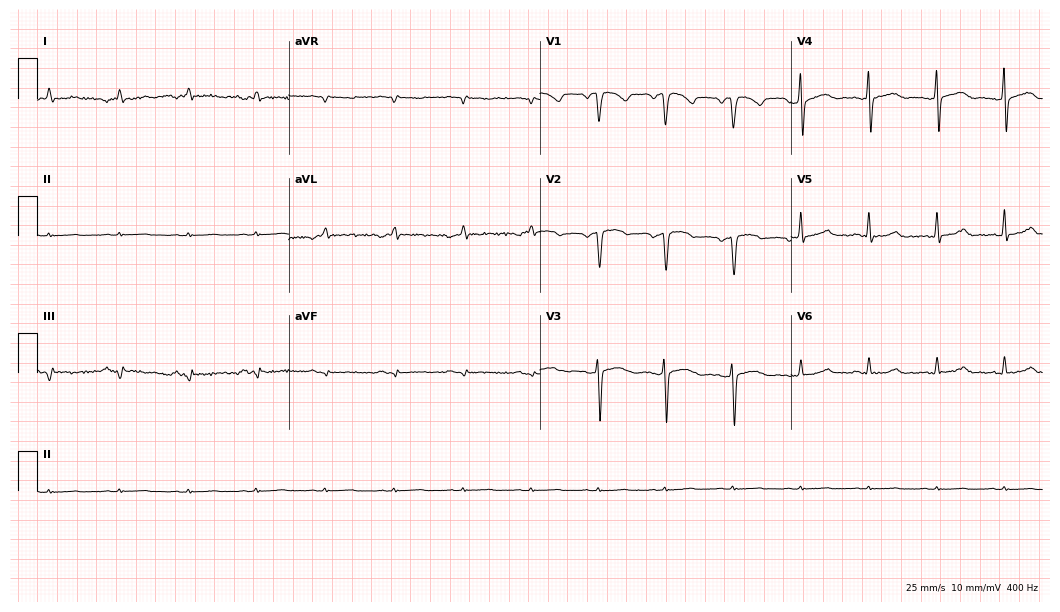
Standard 12-lead ECG recorded from a female, 52 years old (10.2-second recording at 400 Hz). None of these six findings is recorded: first-degree AV block, right bundle branch block (RBBB), left bundle branch block (LBBB), sinus bradycardia, atrial fibrillation (AF), sinus tachycardia.